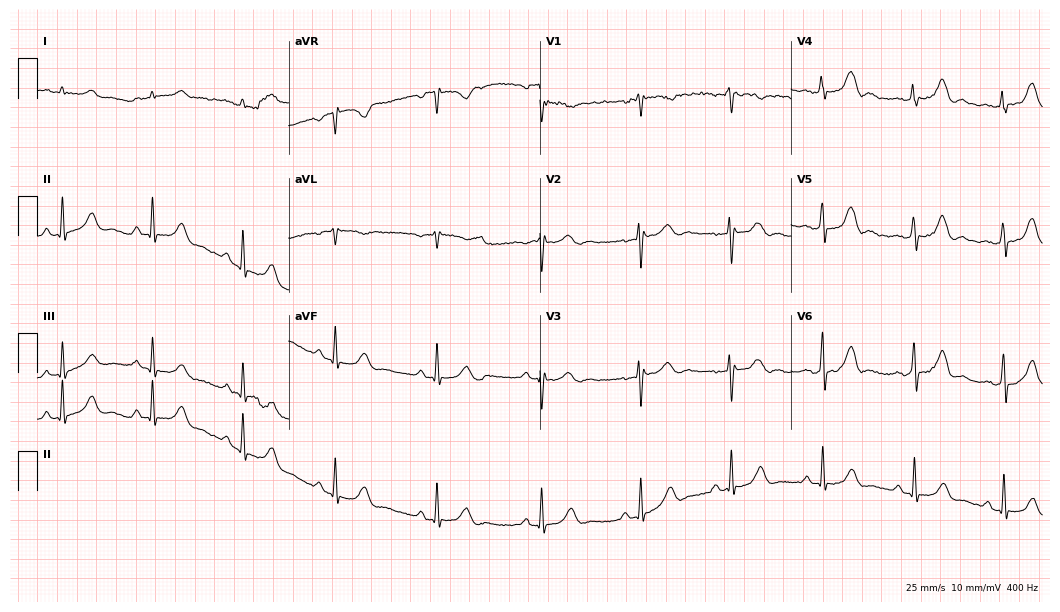
12-lead ECG from a male patient, 32 years old (10.2-second recording at 400 Hz). Recorded interpretation: within normal limits.